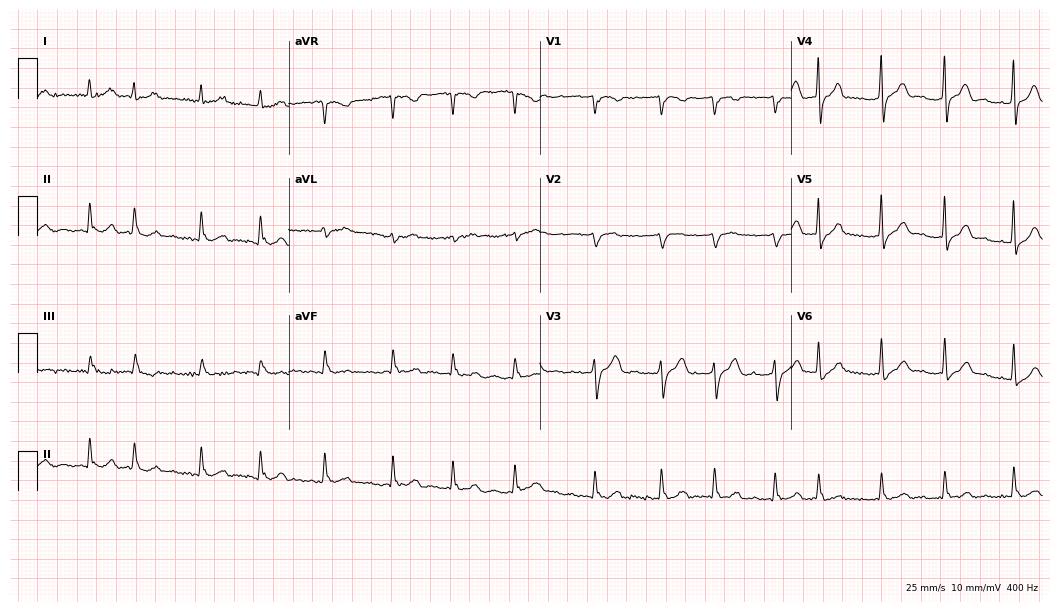
12-lead ECG from a male patient, 80 years old. Findings include atrial fibrillation.